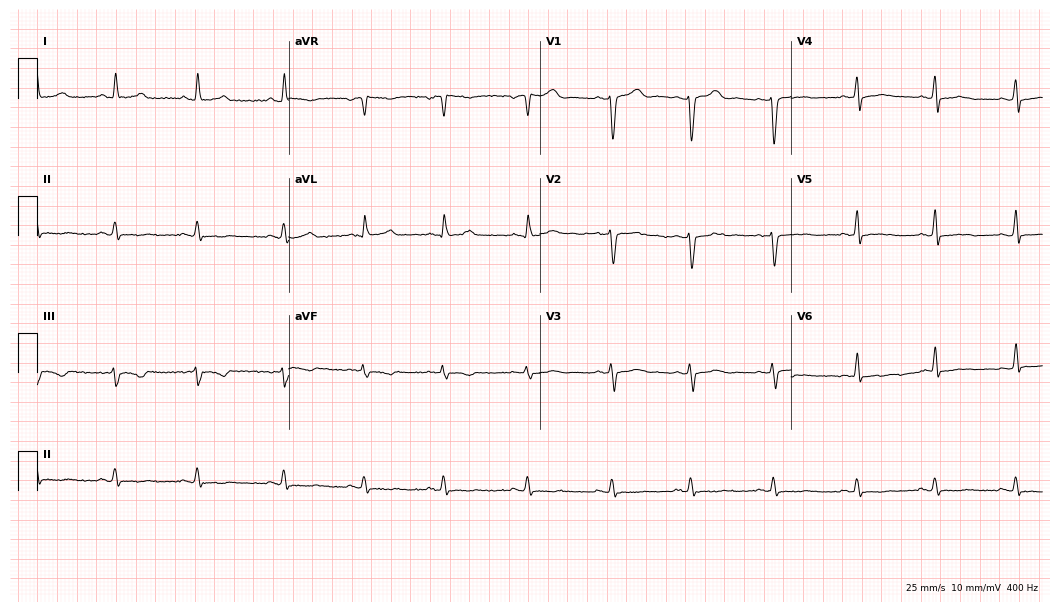
12-lead ECG from a female patient, 41 years old. Recorded interpretation: within normal limits.